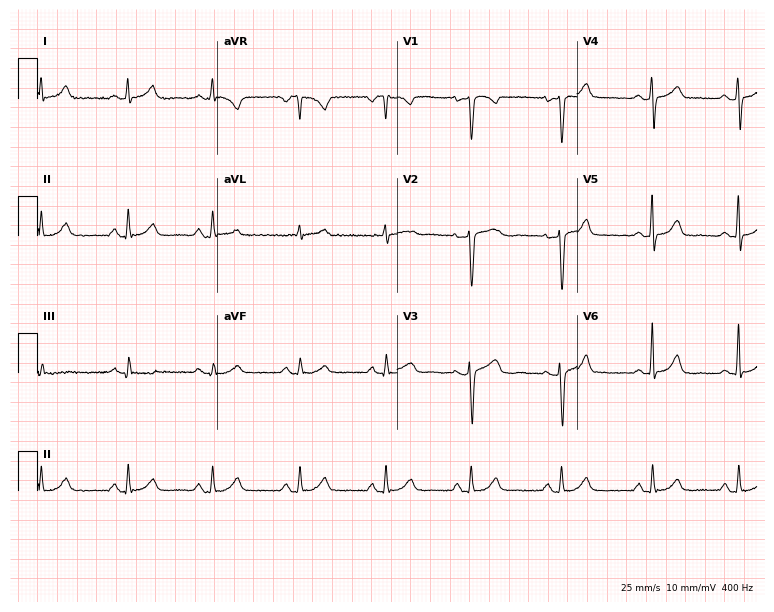
12-lead ECG from a female, 46 years old. Screened for six findings — first-degree AV block, right bundle branch block, left bundle branch block, sinus bradycardia, atrial fibrillation, sinus tachycardia — none is recorded.